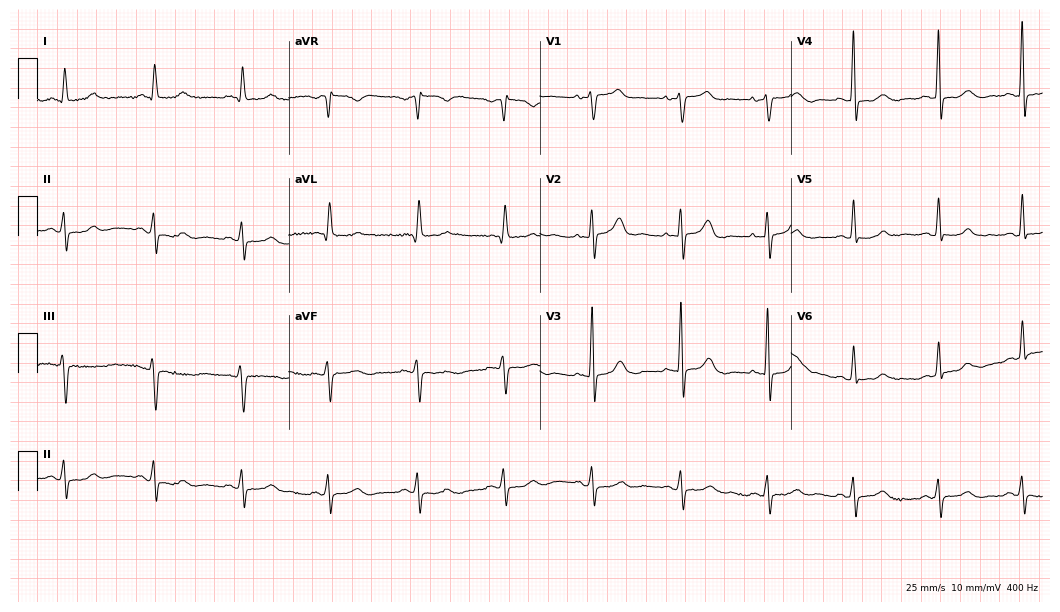
Electrocardiogram, an 80-year-old female patient. Overall reading on record: normal ECG.